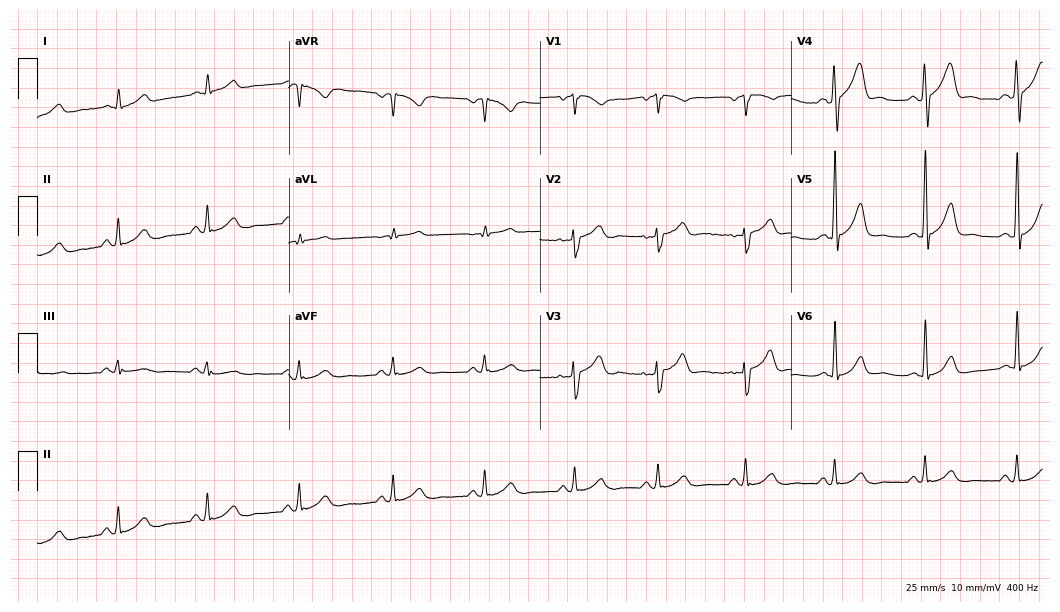
Standard 12-lead ECG recorded from a 46-year-old male patient. Read as a normal ECG.